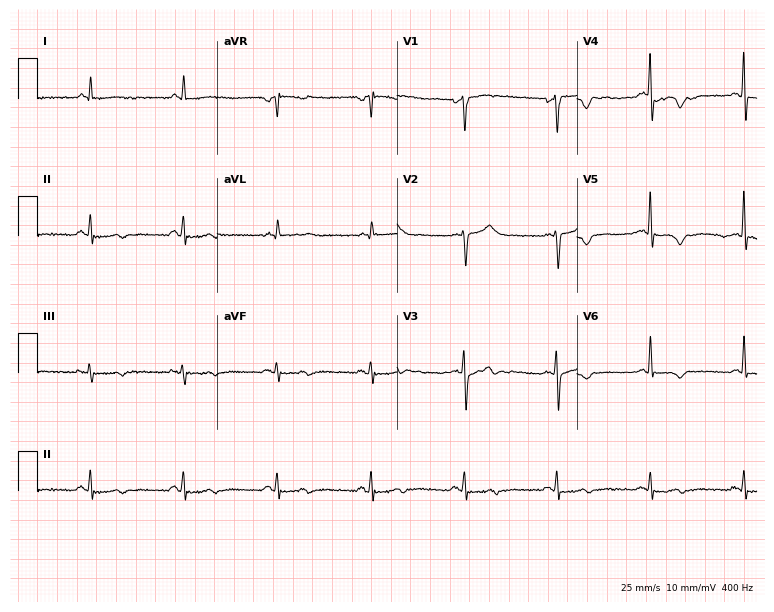
12-lead ECG from a man, 70 years old (7.3-second recording at 400 Hz). No first-degree AV block, right bundle branch block, left bundle branch block, sinus bradycardia, atrial fibrillation or sinus tachycardia recorded for this tracing.